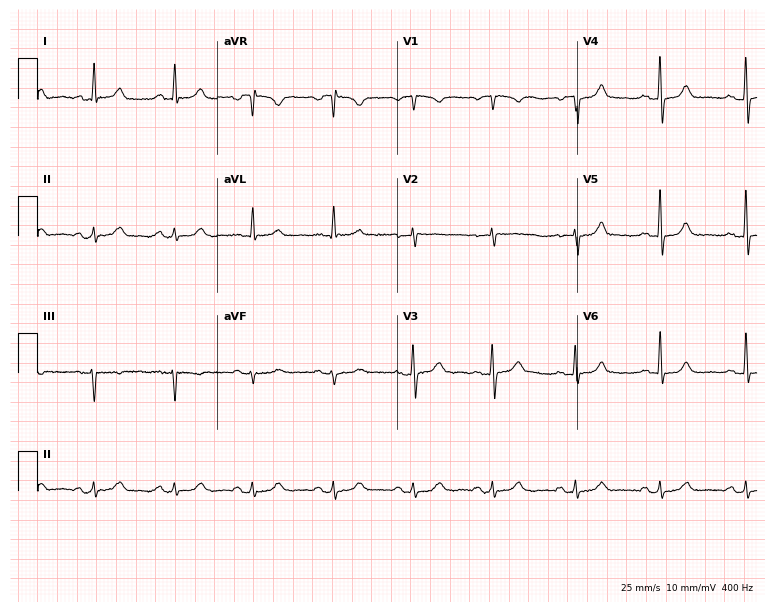
Electrocardiogram, a female patient, 59 years old. Overall reading on record: normal ECG.